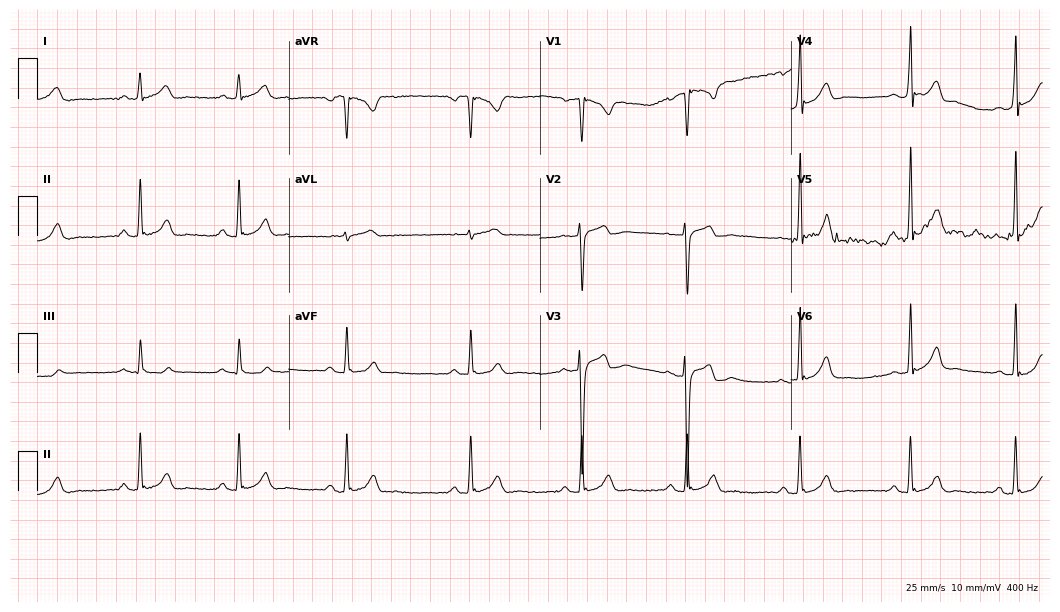
Standard 12-lead ECG recorded from a 27-year-old male. None of these six findings is recorded: first-degree AV block, right bundle branch block, left bundle branch block, sinus bradycardia, atrial fibrillation, sinus tachycardia.